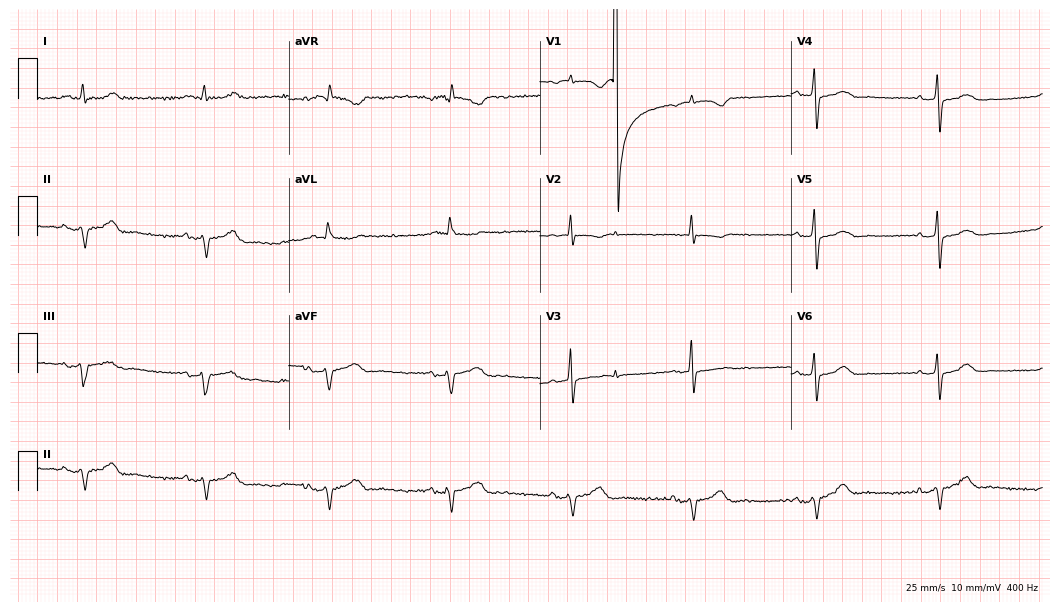
Standard 12-lead ECG recorded from a 74-year-old male. The tracing shows sinus bradycardia (a sinus rate of 50 beats per minute or less).